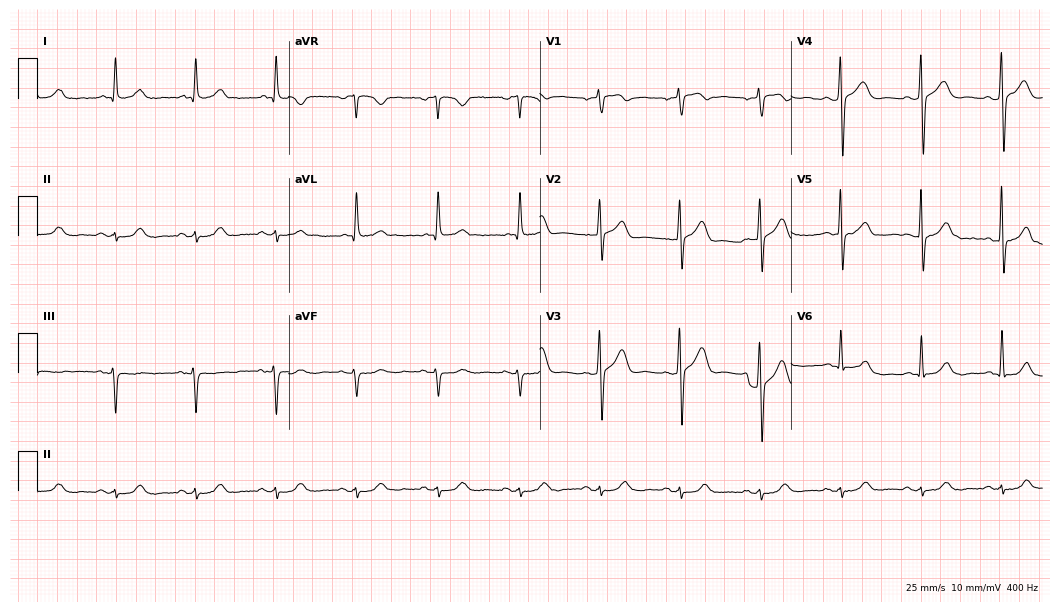
12-lead ECG (10.2-second recording at 400 Hz) from a 75-year-old man. Labelled as a normal ECG.